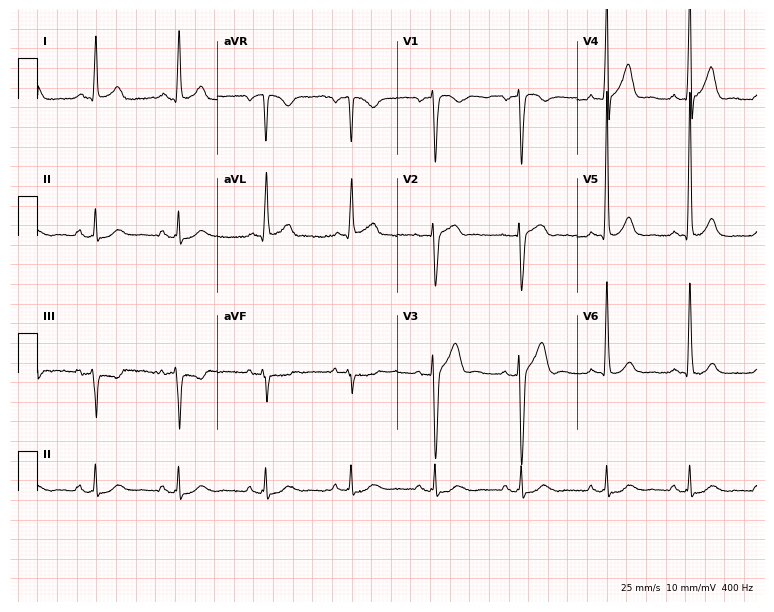
12-lead ECG (7.3-second recording at 400 Hz) from a 63-year-old male. Screened for six findings — first-degree AV block, right bundle branch block, left bundle branch block, sinus bradycardia, atrial fibrillation, sinus tachycardia — none is recorded. Other findings, if any, are not listed.